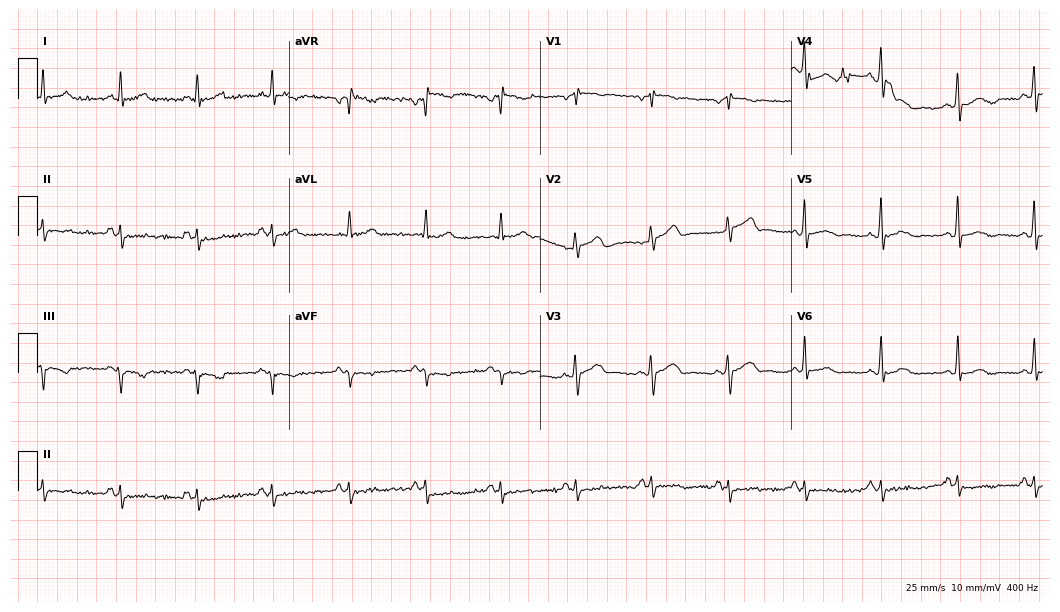
Resting 12-lead electrocardiogram. Patient: a male, 67 years old. None of these six findings is recorded: first-degree AV block, right bundle branch block, left bundle branch block, sinus bradycardia, atrial fibrillation, sinus tachycardia. Findings outside these six are not listed.